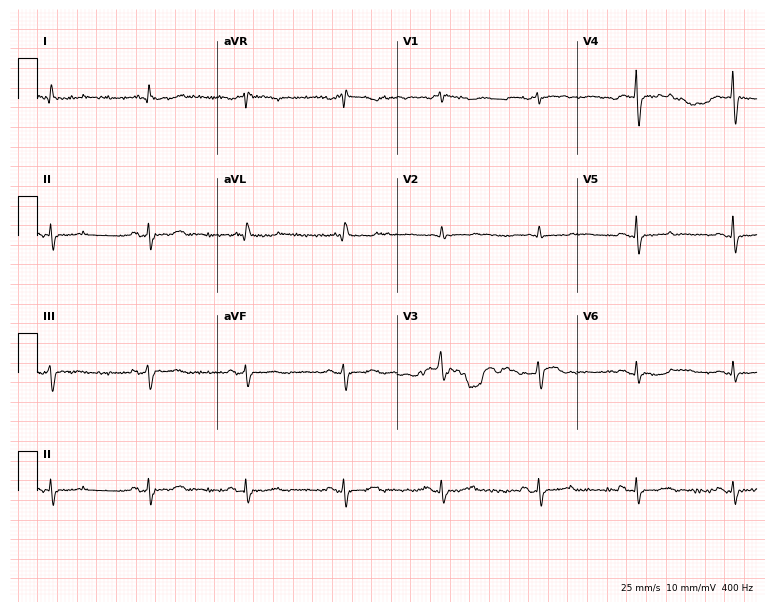
Electrocardiogram, a male patient, 76 years old. Of the six screened findings (first-degree AV block, right bundle branch block (RBBB), left bundle branch block (LBBB), sinus bradycardia, atrial fibrillation (AF), sinus tachycardia), none is recorded. Findings outside these six are not listed.